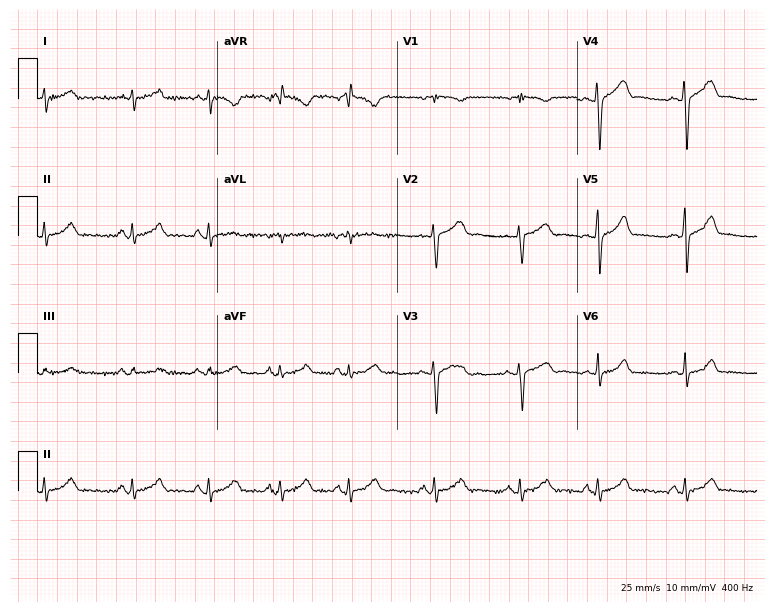
Electrocardiogram (7.3-second recording at 400 Hz), a female patient, 27 years old. Overall reading on record: normal ECG.